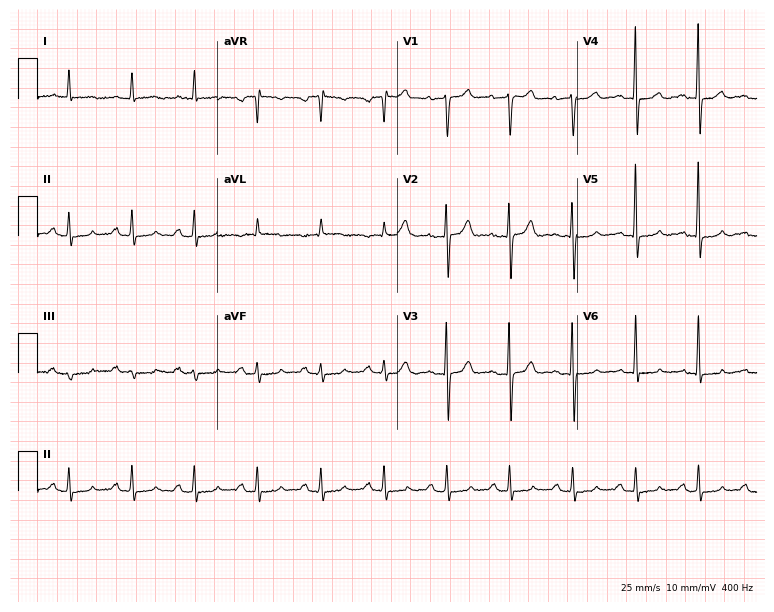
12-lead ECG (7.3-second recording at 400 Hz) from a male, 81 years old. Screened for six findings — first-degree AV block, right bundle branch block, left bundle branch block, sinus bradycardia, atrial fibrillation, sinus tachycardia — none is recorded. Only these six findings were labelled.